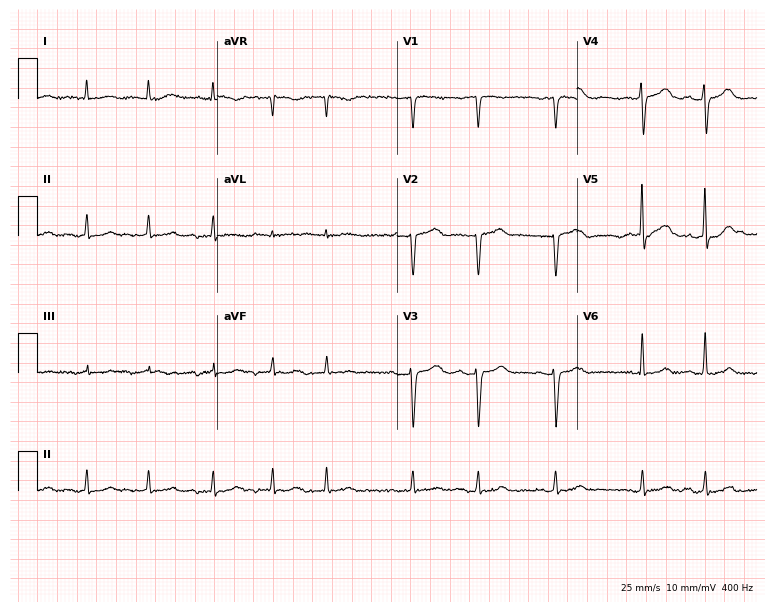
Standard 12-lead ECG recorded from an 85-year-old female (7.3-second recording at 400 Hz). The tracing shows first-degree AV block, atrial fibrillation.